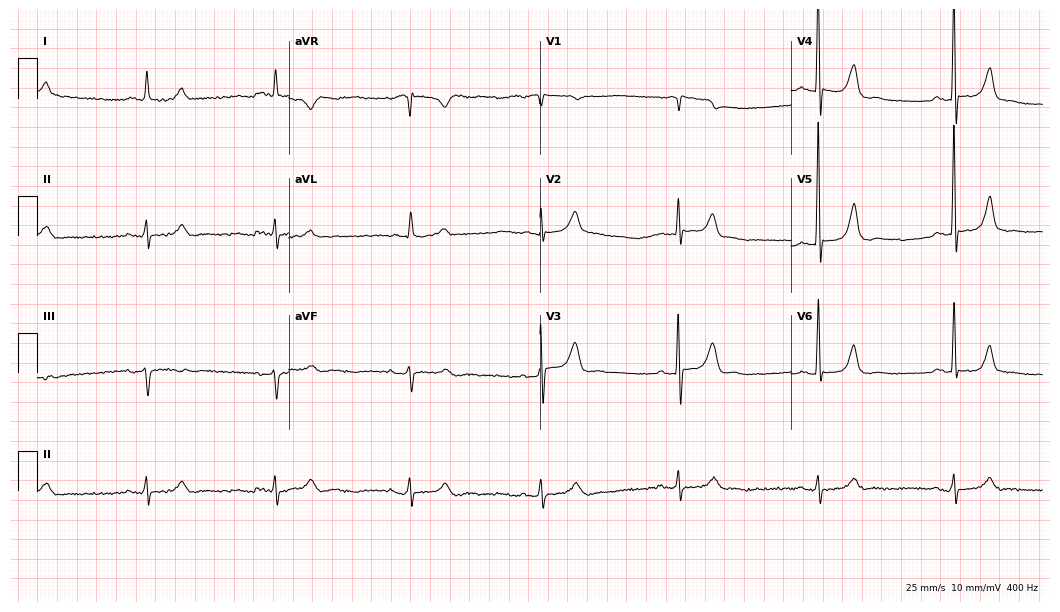
Standard 12-lead ECG recorded from a 66-year-old male (10.2-second recording at 400 Hz). The tracing shows sinus bradycardia (a sinus rate of 50 beats per minute or less).